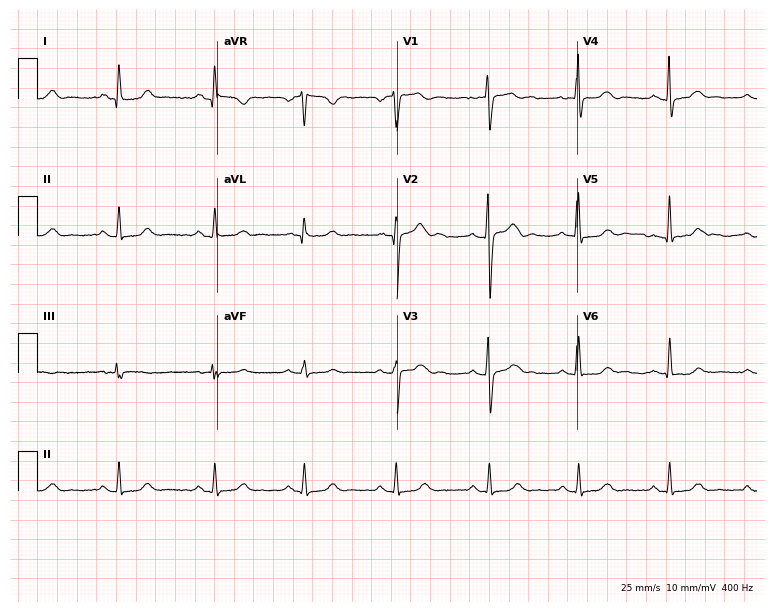
12-lead ECG from a 36-year-old female patient (7.3-second recording at 400 Hz). Recorded interpretation: within normal limits.